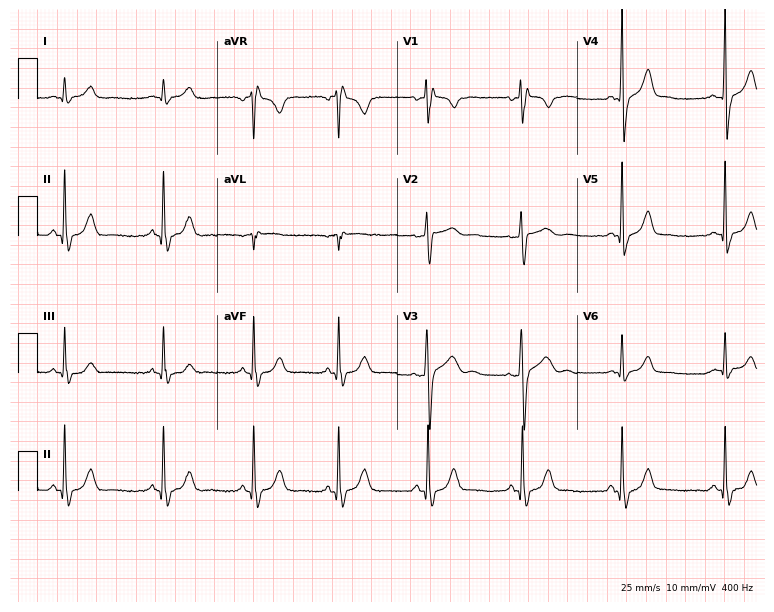
Resting 12-lead electrocardiogram (7.3-second recording at 400 Hz). Patient: a 29-year-old man. None of these six findings is recorded: first-degree AV block, right bundle branch block, left bundle branch block, sinus bradycardia, atrial fibrillation, sinus tachycardia. Findings outside these six are not listed.